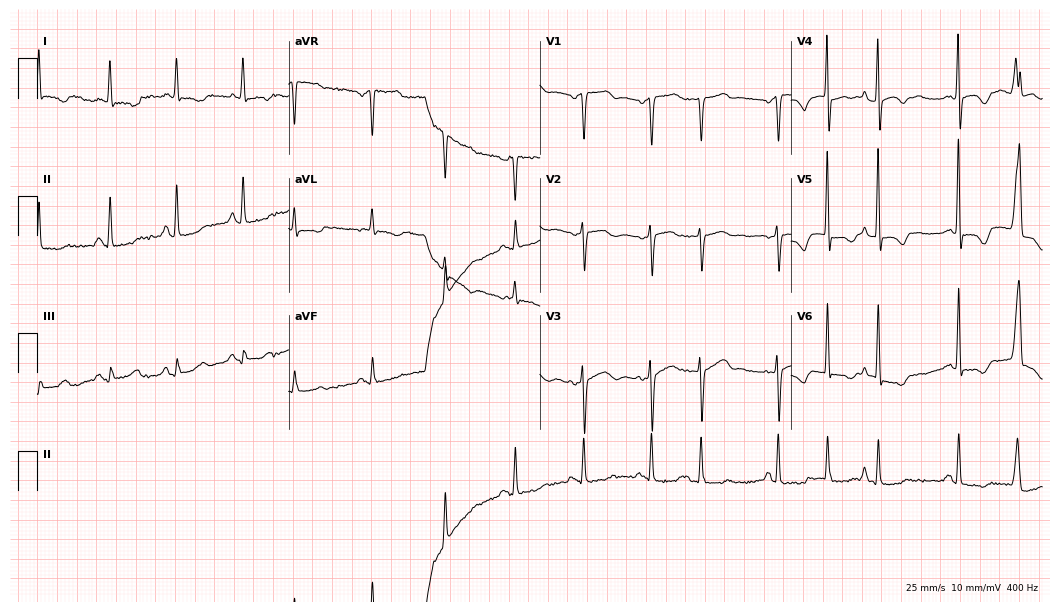
ECG — a female, 77 years old. Screened for six findings — first-degree AV block, right bundle branch block, left bundle branch block, sinus bradycardia, atrial fibrillation, sinus tachycardia — none is recorded.